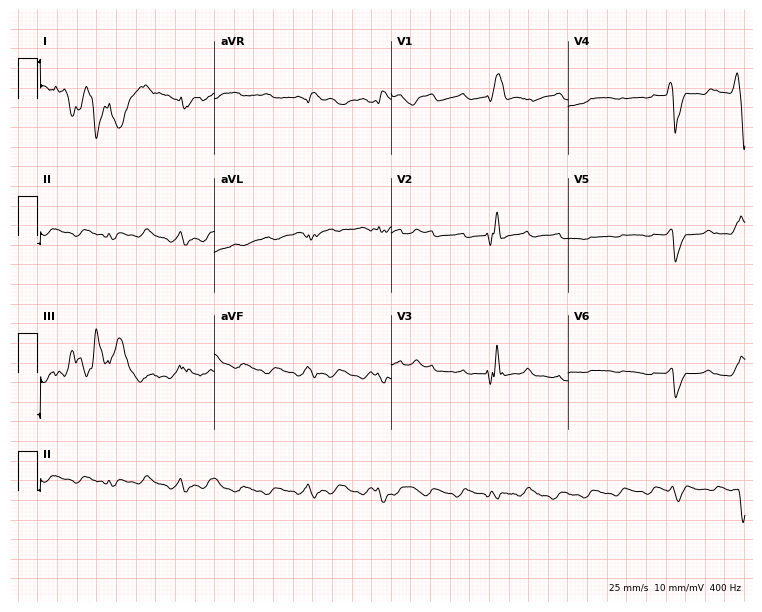
ECG — a 55-year-old female patient. Screened for six findings — first-degree AV block, right bundle branch block, left bundle branch block, sinus bradycardia, atrial fibrillation, sinus tachycardia — none is recorded. Findings outside these six are not listed.